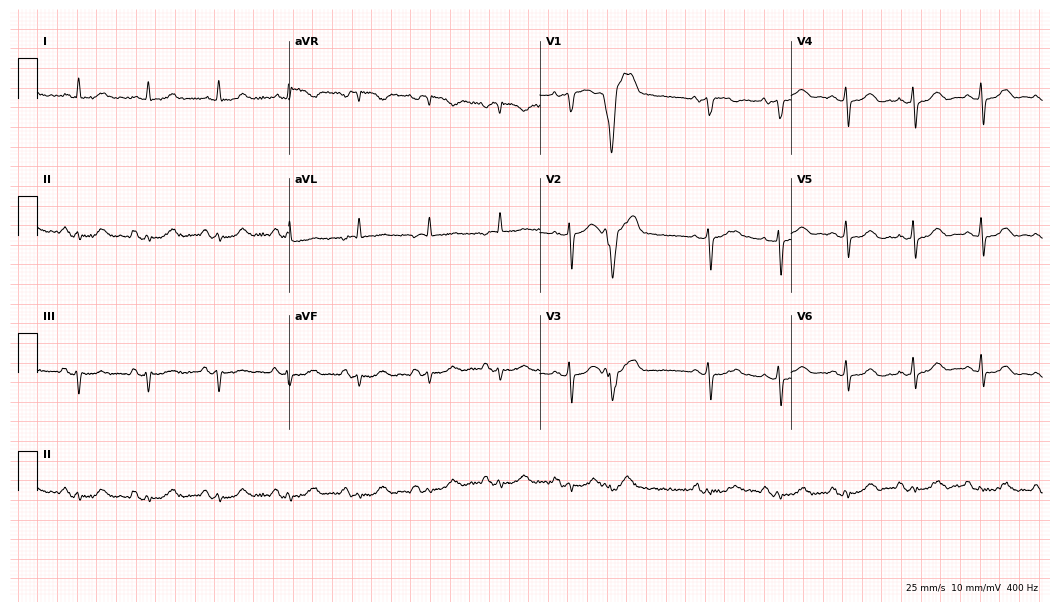
Electrocardiogram, a male, 25 years old. Of the six screened findings (first-degree AV block, right bundle branch block (RBBB), left bundle branch block (LBBB), sinus bradycardia, atrial fibrillation (AF), sinus tachycardia), none is recorded. Other findings, if any, are not listed.